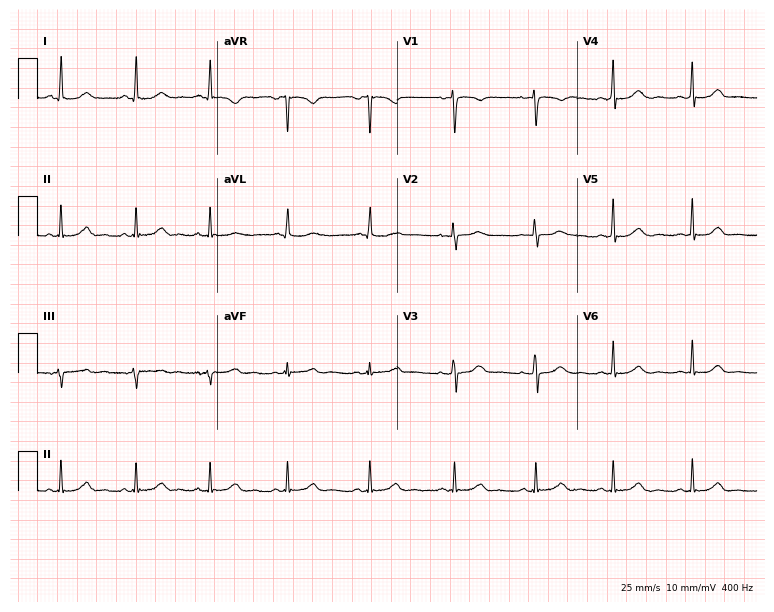
Standard 12-lead ECG recorded from a 43-year-old female. Read as a normal ECG.